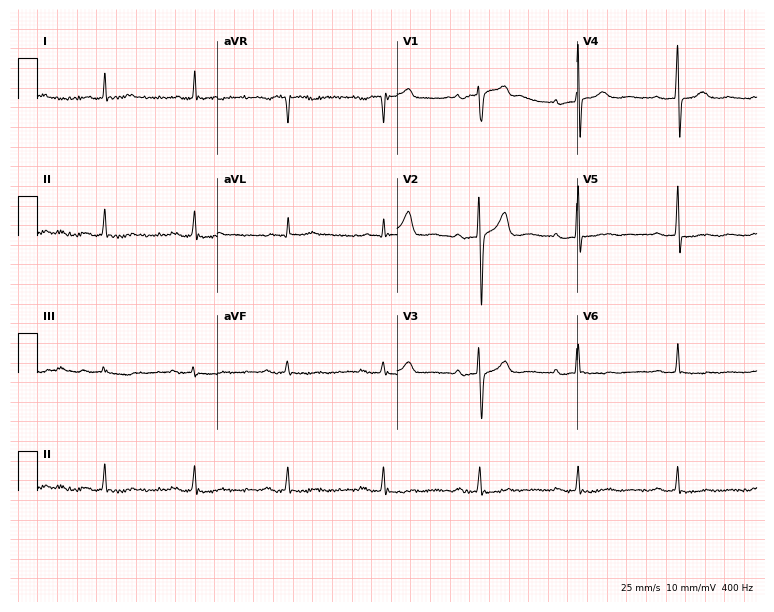
Electrocardiogram (7.3-second recording at 400 Hz), a 76-year-old man. Of the six screened findings (first-degree AV block, right bundle branch block (RBBB), left bundle branch block (LBBB), sinus bradycardia, atrial fibrillation (AF), sinus tachycardia), none is recorded. Only these six findings were labelled.